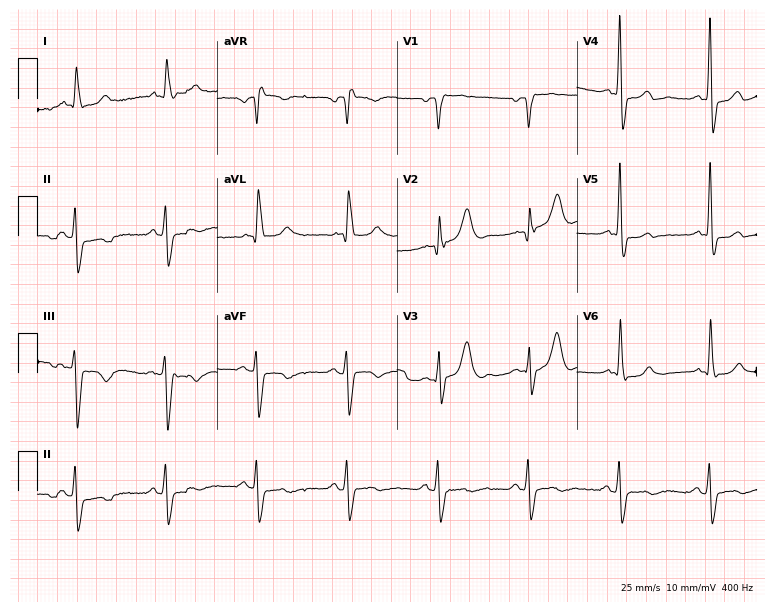
ECG (7.3-second recording at 400 Hz) — an 83-year-old male. Screened for six findings — first-degree AV block, right bundle branch block (RBBB), left bundle branch block (LBBB), sinus bradycardia, atrial fibrillation (AF), sinus tachycardia — none is recorded.